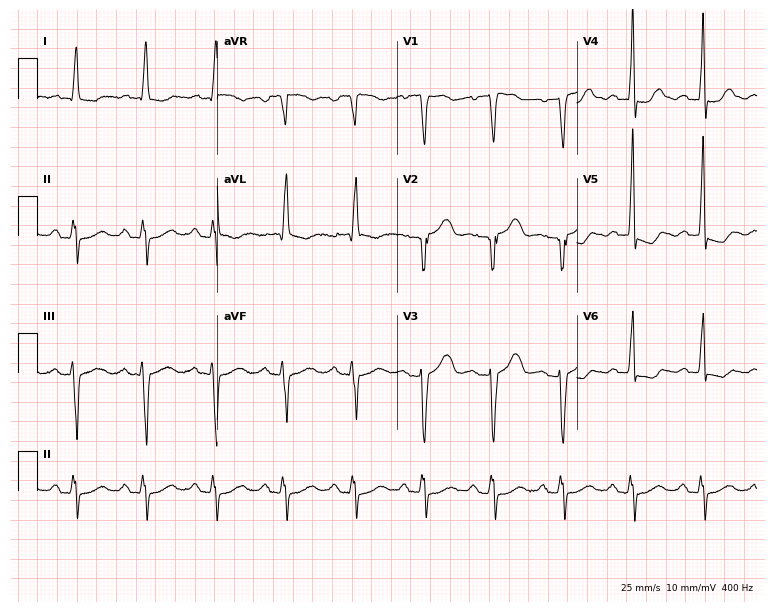
ECG — a female patient, 78 years old. Screened for six findings — first-degree AV block, right bundle branch block (RBBB), left bundle branch block (LBBB), sinus bradycardia, atrial fibrillation (AF), sinus tachycardia — none is recorded.